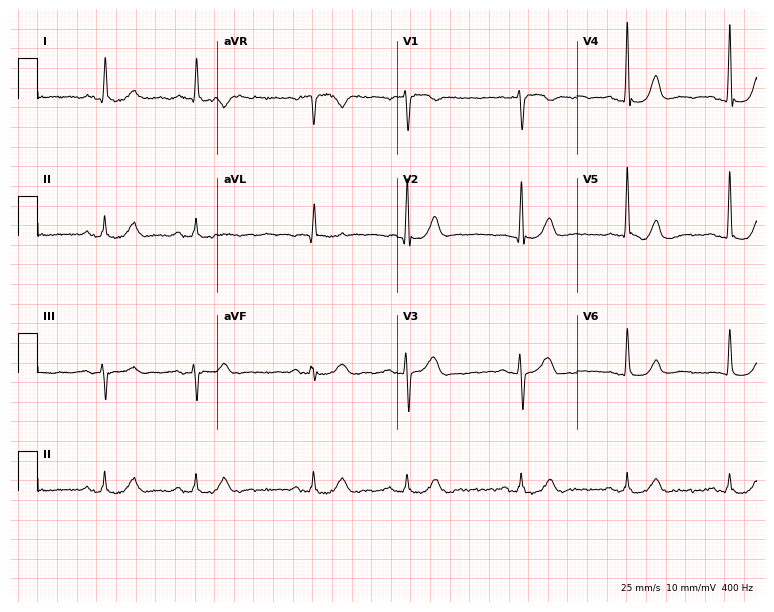
ECG (7.3-second recording at 400 Hz) — a male, 79 years old. Labelled as a normal ECG.